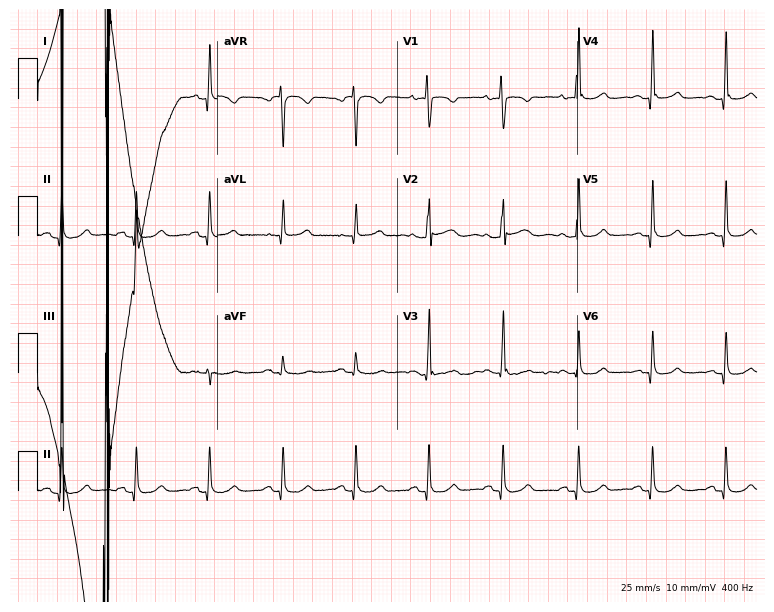
Standard 12-lead ECG recorded from a female, 48 years old. None of these six findings is recorded: first-degree AV block, right bundle branch block, left bundle branch block, sinus bradycardia, atrial fibrillation, sinus tachycardia. Only these six findings were labelled.